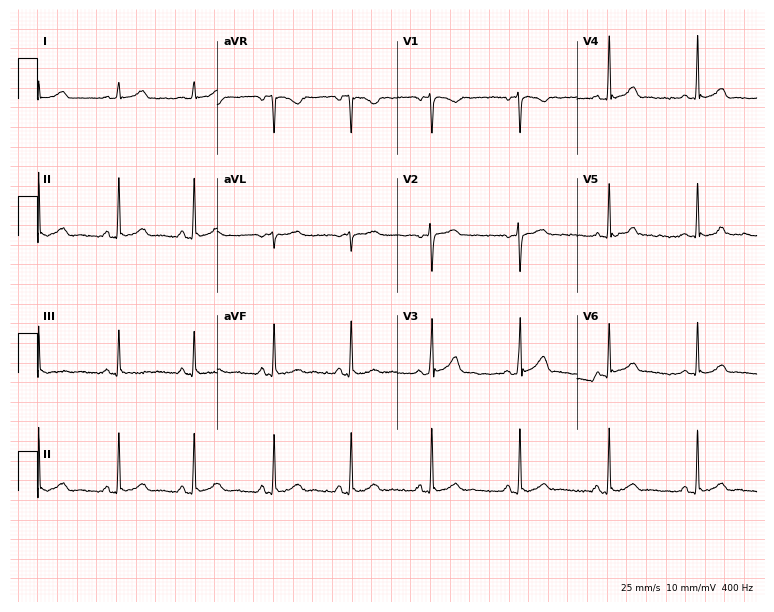
Resting 12-lead electrocardiogram. Patient: a female, 27 years old. Read as a normal ECG.